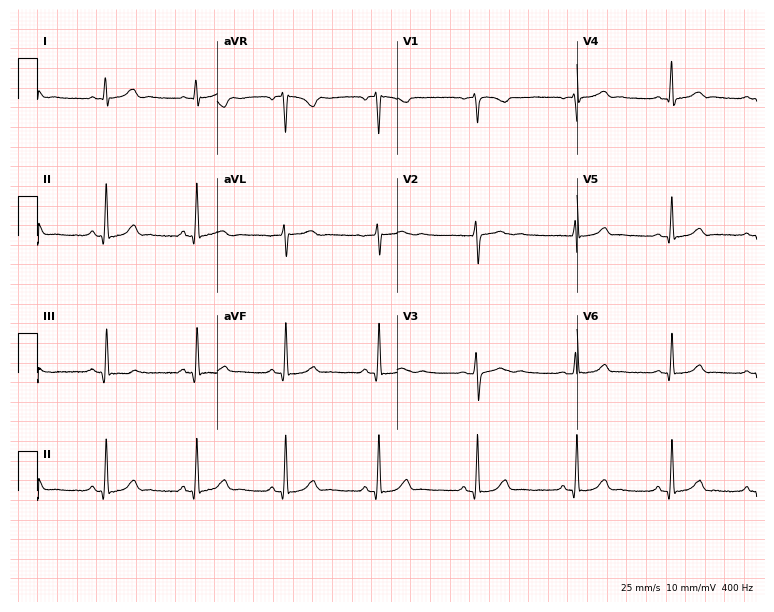
12-lead ECG from a 29-year-old woman. Labelled as a normal ECG.